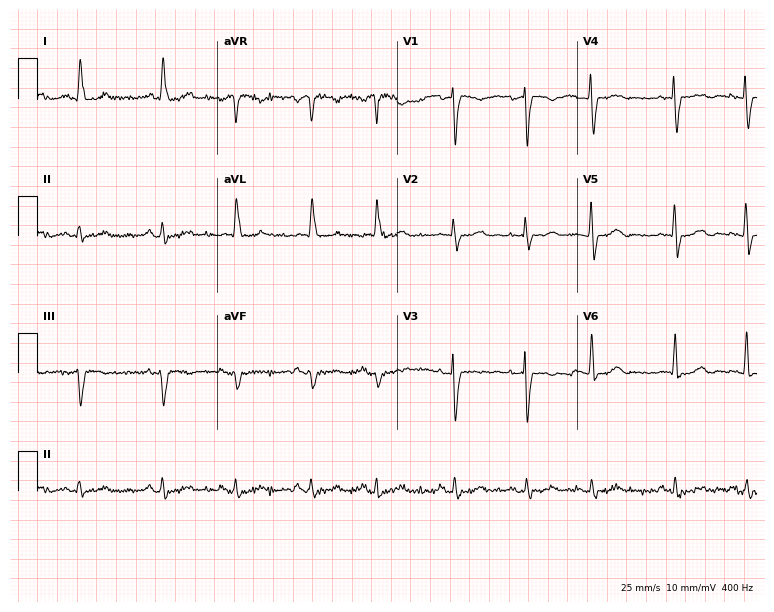
Resting 12-lead electrocardiogram. Patient: an 80-year-old female. None of these six findings is recorded: first-degree AV block, right bundle branch block, left bundle branch block, sinus bradycardia, atrial fibrillation, sinus tachycardia. Other findings, if any, are not listed.